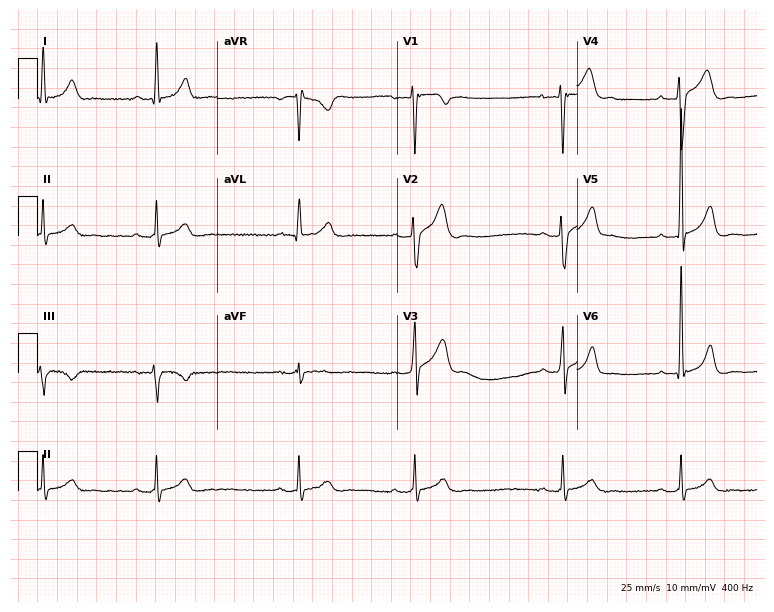
Resting 12-lead electrocardiogram. Patient: a 24-year-old male. The tracing shows sinus bradycardia (a sinus rate of 50 beats per minute or less).